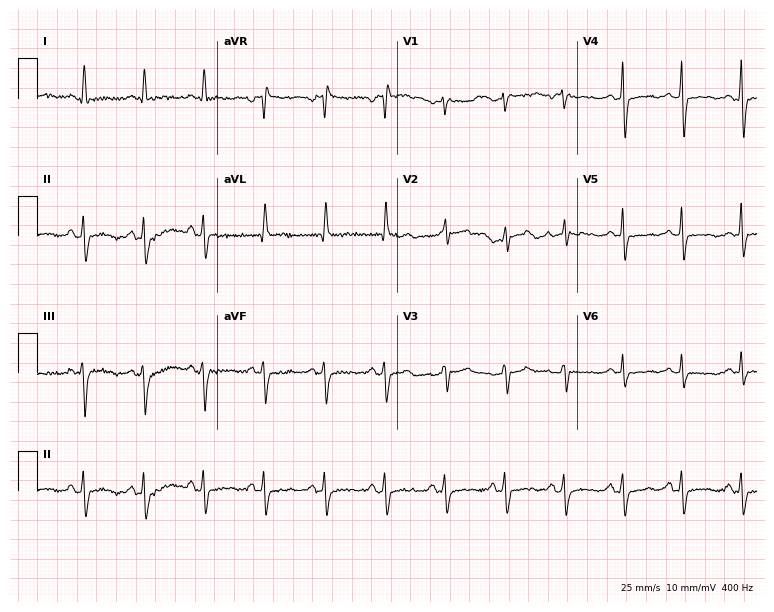
12-lead ECG from a woman, 40 years old. No first-degree AV block, right bundle branch block (RBBB), left bundle branch block (LBBB), sinus bradycardia, atrial fibrillation (AF) or sinus tachycardia recorded for this tracing.